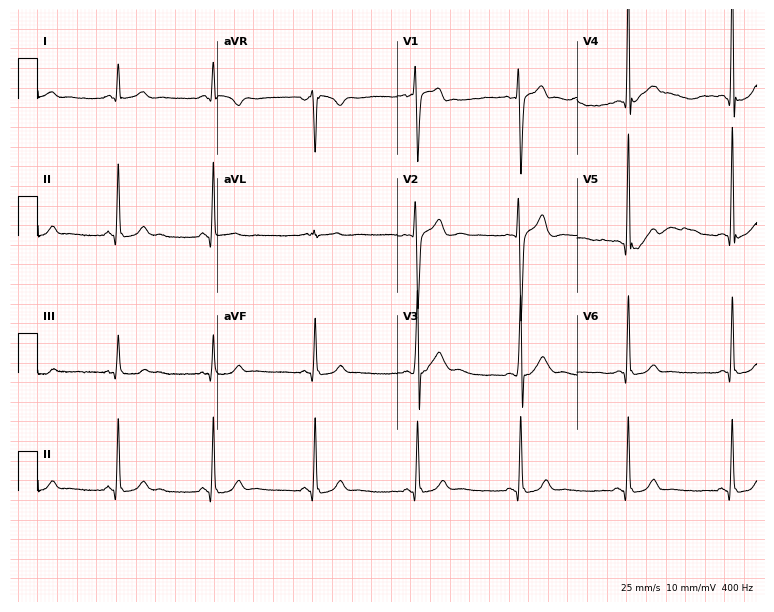
ECG — a man, 28 years old. Labelled as a normal ECG.